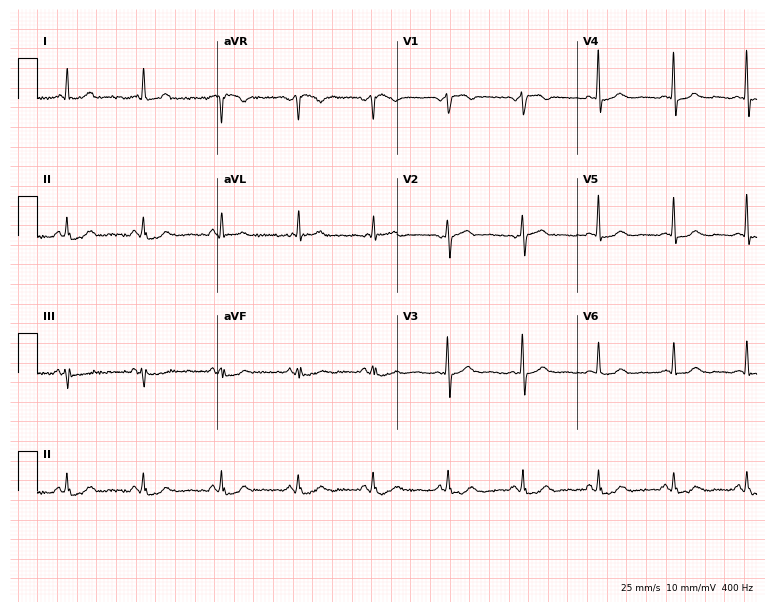
Resting 12-lead electrocardiogram. Patient: a female, 63 years old. None of these six findings is recorded: first-degree AV block, right bundle branch block, left bundle branch block, sinus bradycardia, atrial fibrillation, sinus tachycardia. Findings outside these six are not listed.